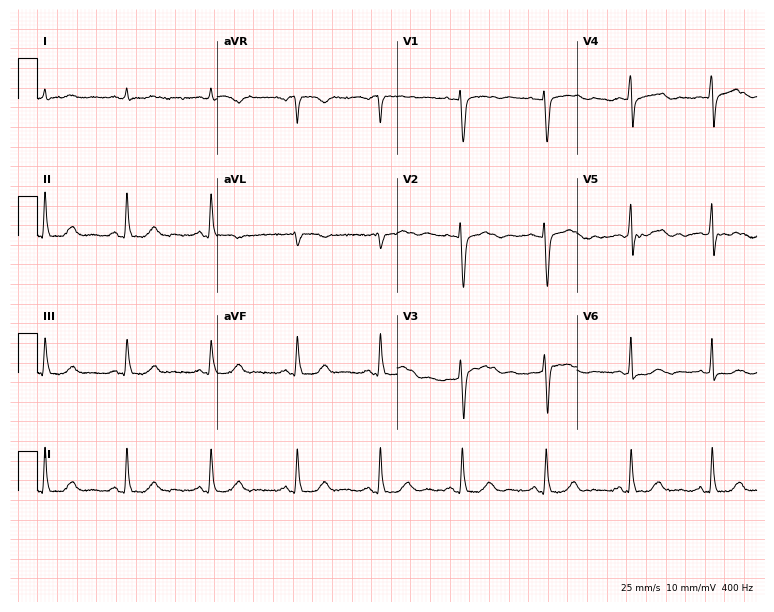
Resting 12-lead electrocardiogram. Patient: a 36-year-old woman. None of these six findings is recorded: first-degree AV block, right bundle branch block, left bundle branch block, sinus bradycardia, atrial fibrillation, sinus tachycardia. Findings outside these six are not listed.